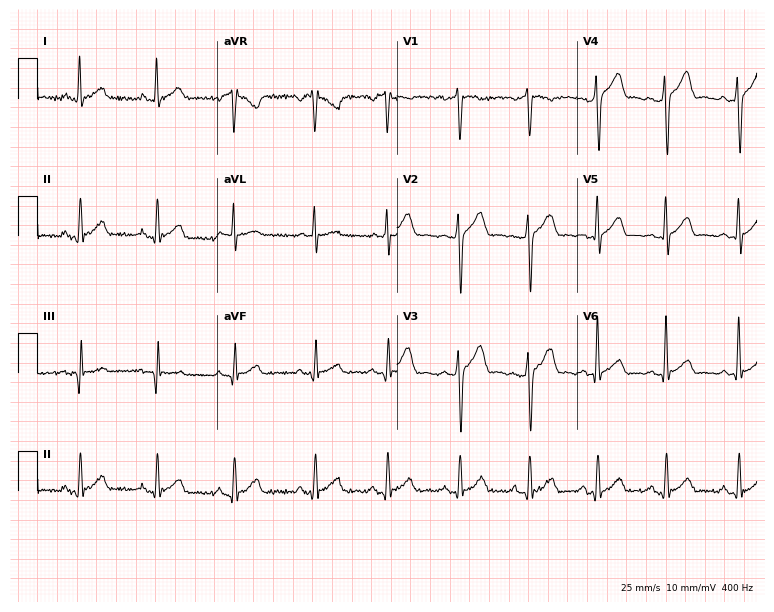
Standard 12-lead ECG recorded from a man, 26 years old. None of these six findings is recorded: first-degree AV block, right bundle branch block, left bundle branch block, sinus bradycardia, atrial fibrillation, sinus tachycardia.